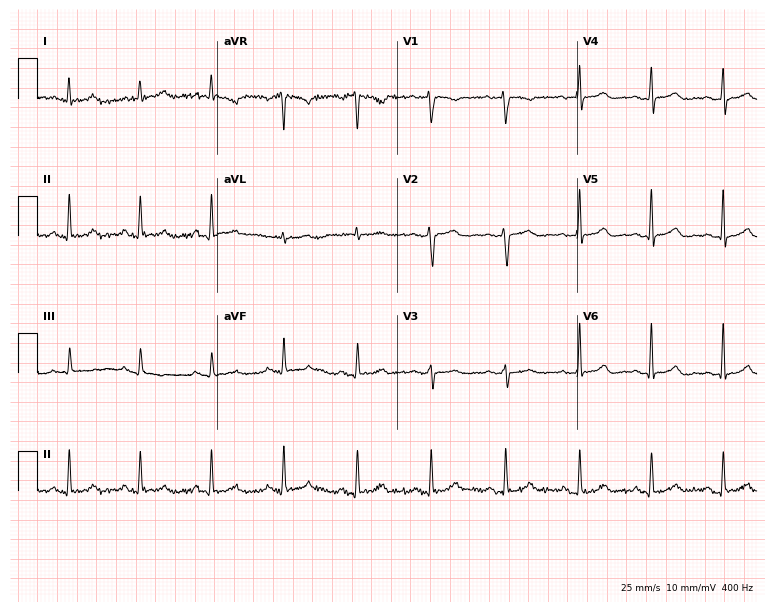
Resting 12-lead electrocardiogram. Patient: a woman, 46 years old. Read as a normal ECG.